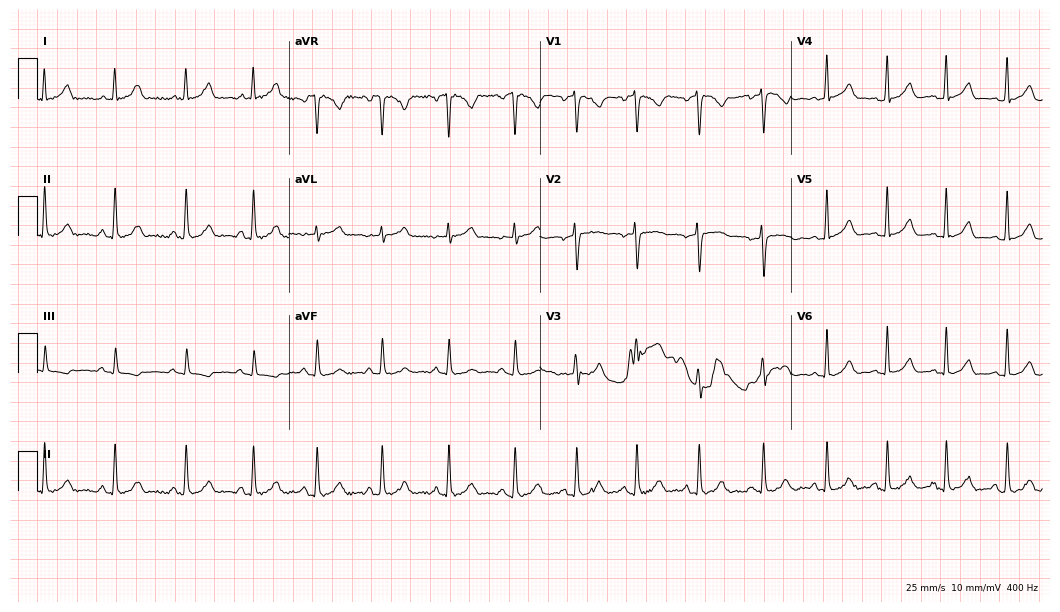
Standard 12-lead ECG recorded from a 30-year-old female. Read as a normal ECG.